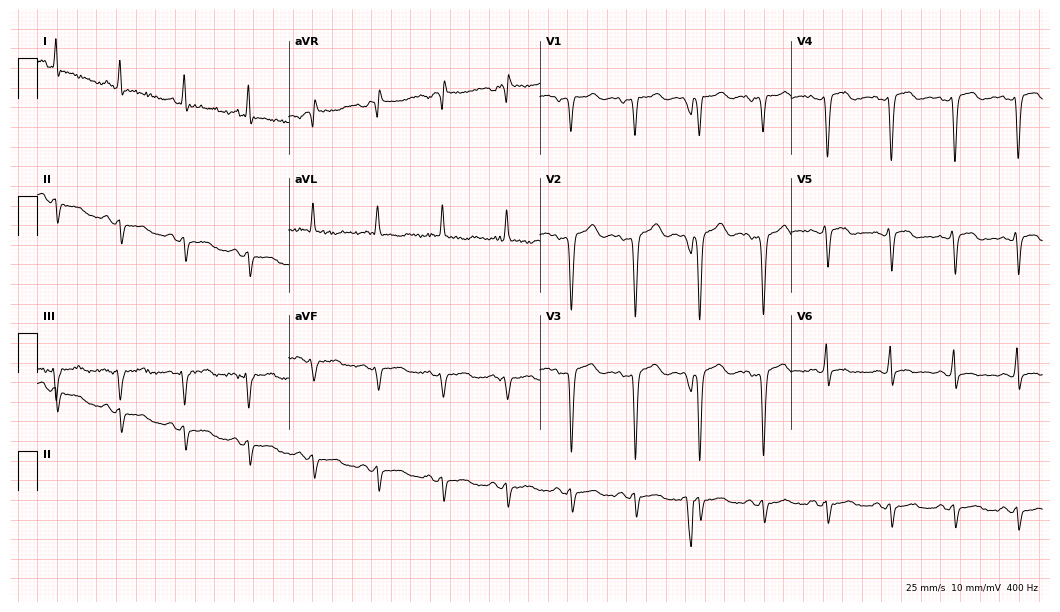
12-lead ECG from a 63-year-old male patient. Screened for six findings — first-degree AV block, right bundle branch block (RBBB), left bundle branch block (LBBB), sinus bradycardia, atrial fibrillation (AF), sinus tachycardia — none is recorded.